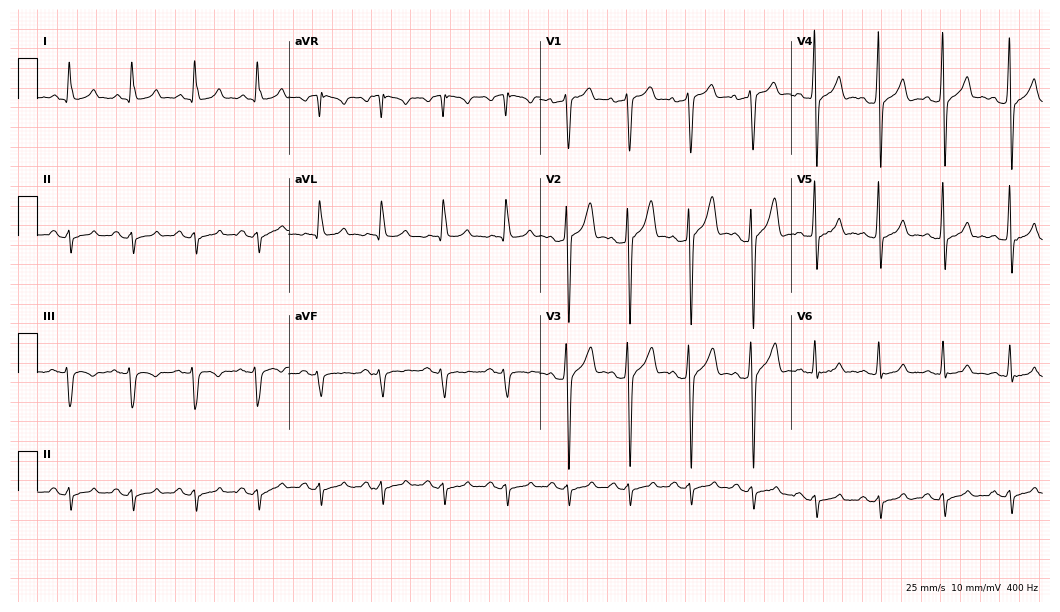
ECG — a man, 40 years old. Screened for six findings — first-degree AV block, right bundle branch block, left bundle branch block, sinus bradycardia, atrial fibrillation, sinus tachycardia — none is recorded. Findings outside these six are not listed.